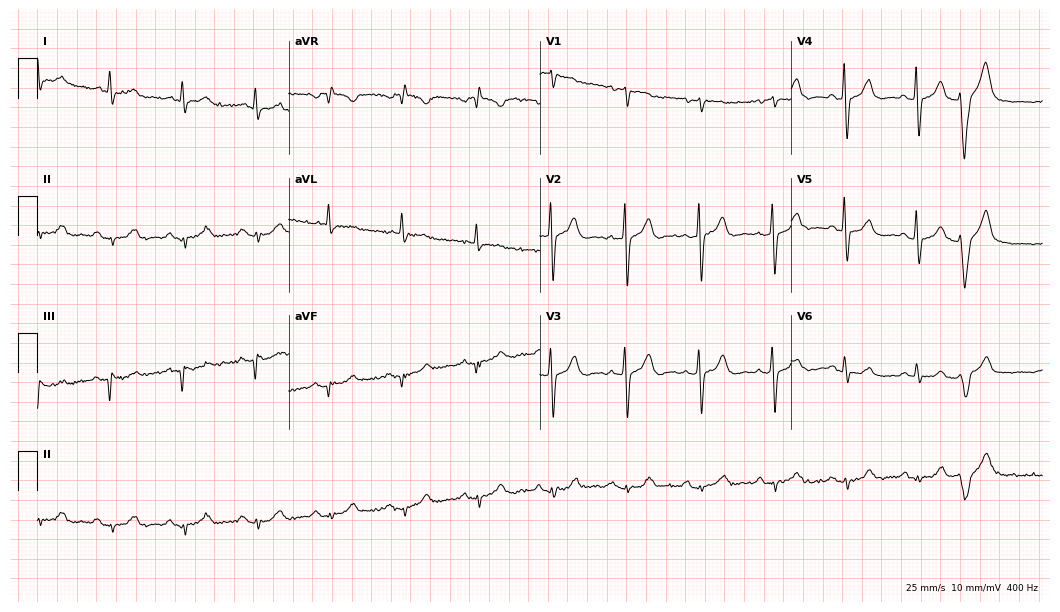
12-lead ECG (10.2-second recording at 400 Hz) from an 81-year-old male. Screened for six findings — first-degree AV block, right bundle branch block (RBBB), left bundle branch block (LBBB), sinus bradycardia, atrial fibrillation (AF), sinus tachycardia — none is recorded.